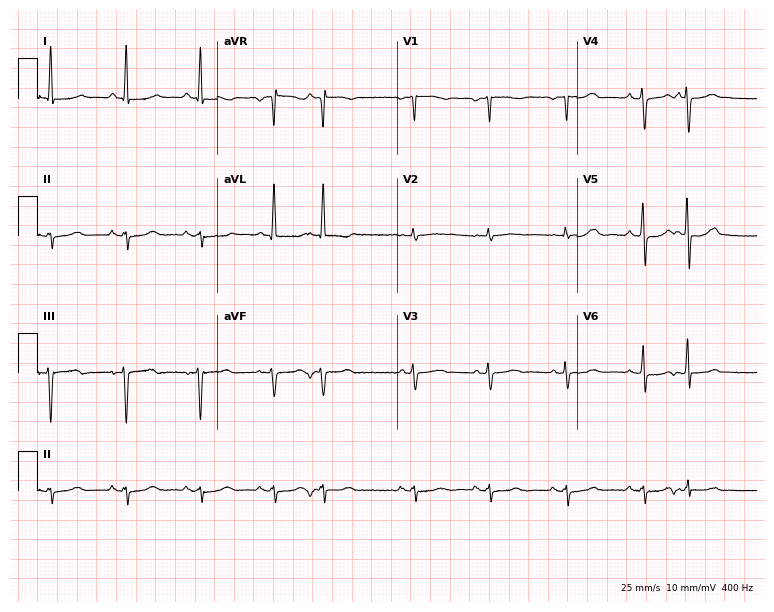
Standard 12-lead ECG recorded from a female patient, 78 years old (7.3-second recording at 400 Hz). None of these six findings is recorded: first-degree AV block, right bundle branch block (RBBB), left bundle branch block (LBBB), sinus bradycardia, atrial fibrillation (AF), sinus tachycardia.